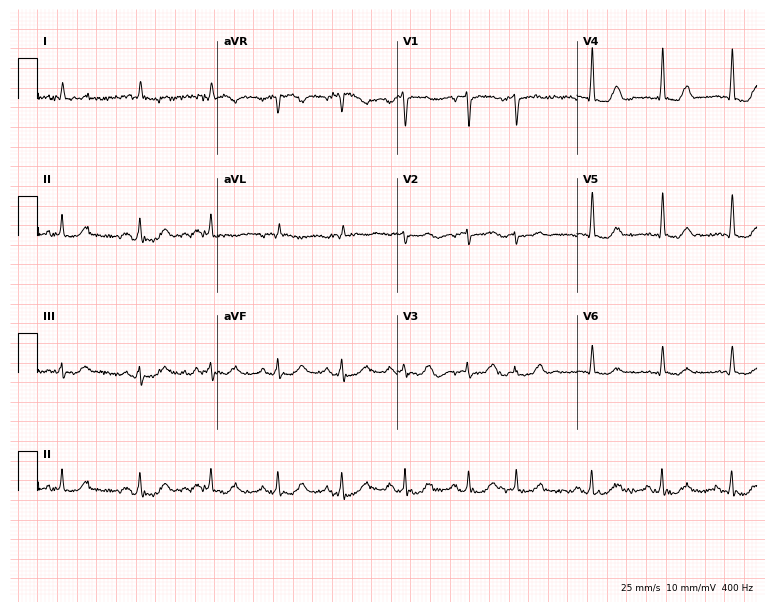
12-lead ECG from a male, 83 years old. Screened for six findings — first-degree AV block, right bundle branch block, left bundle branch block, sinus bradycardia, atrial fibrillation, sinus tachycardia — none is recorded. Other findings, if any, are not listed.